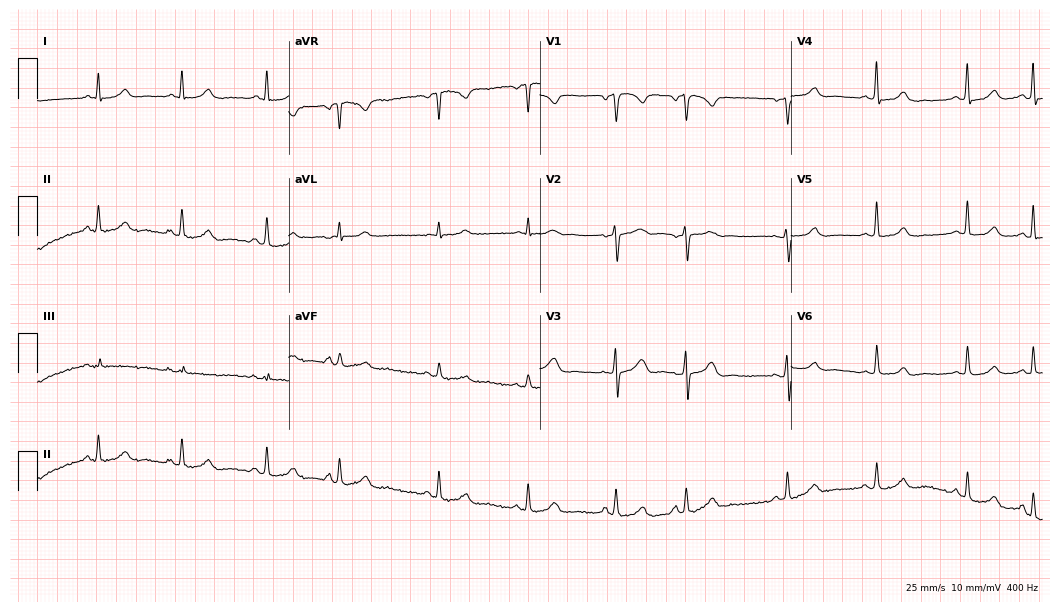
12-lead ECG from a female, 49 years old. Recorded interpretation: within normal limits.